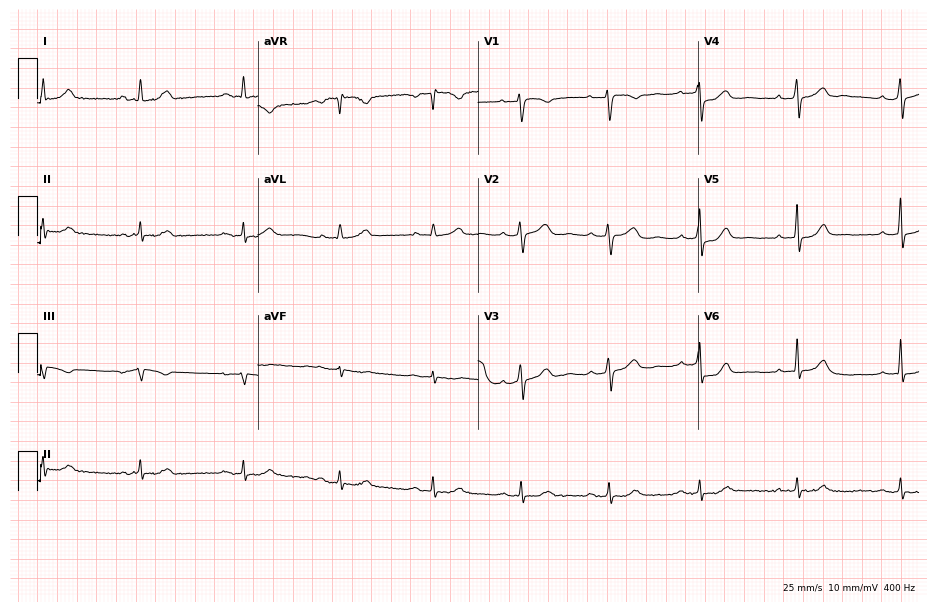
Standard 12-lead ECG recorded from a female patient, 39 years old. None of these six findings is recorded: first-degree AV block, right bundle branch block (RBBB), left bundle branch block (LBBB), sinus bradycardia, atrial fibrillation (AF), sinus tachycardia.